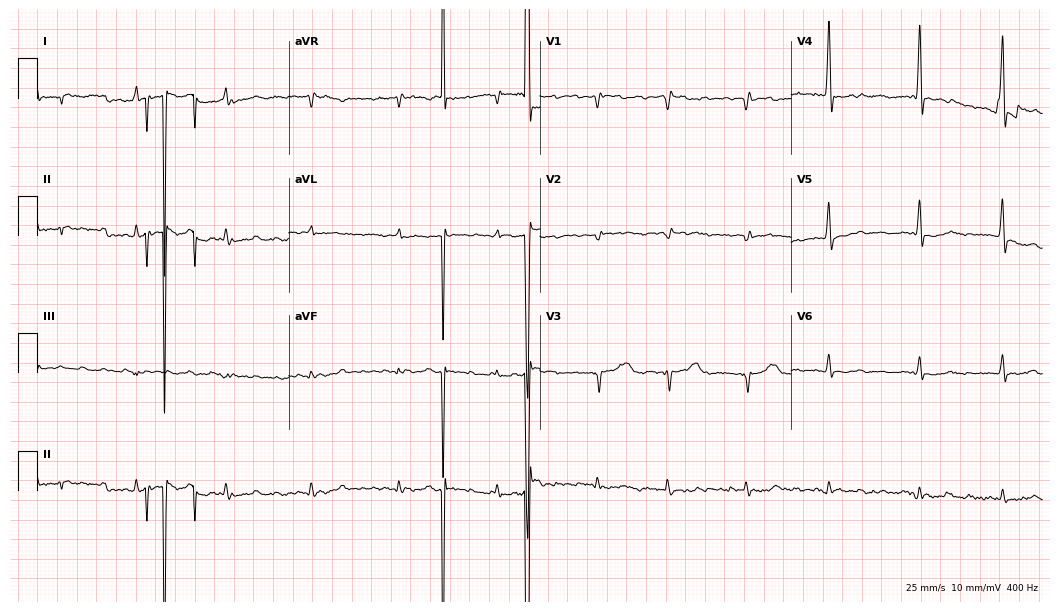
ECG (10.2-second recording at 400 Hz) — a 71-year-old man. Screened for six findings — first-degree AV block, right bundle branch block, left bundle branch block, sinus bradycardia, atrial fibrillation, sinus tachycardia — none is recorded. Only these six findings were labelled.